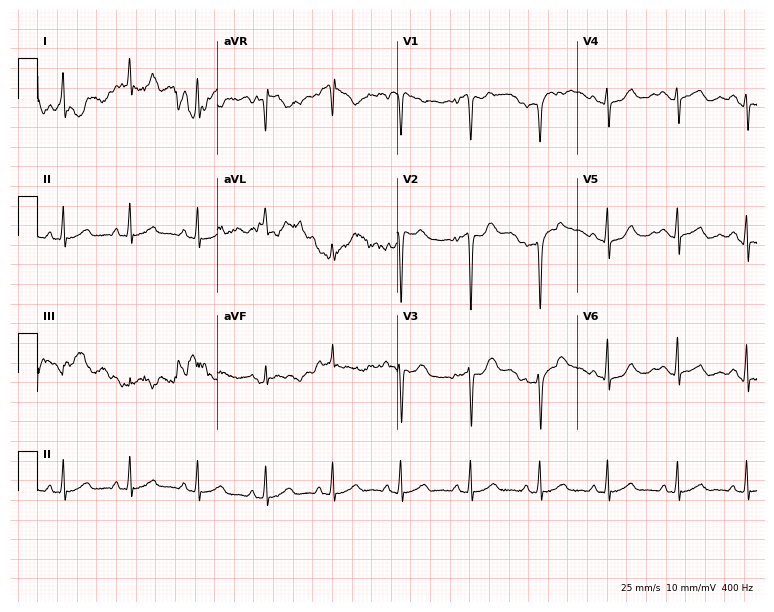
ECG (7.3-second recording at 400 Hz) — a woman, 39 years old. Labelled as a normal ECG.